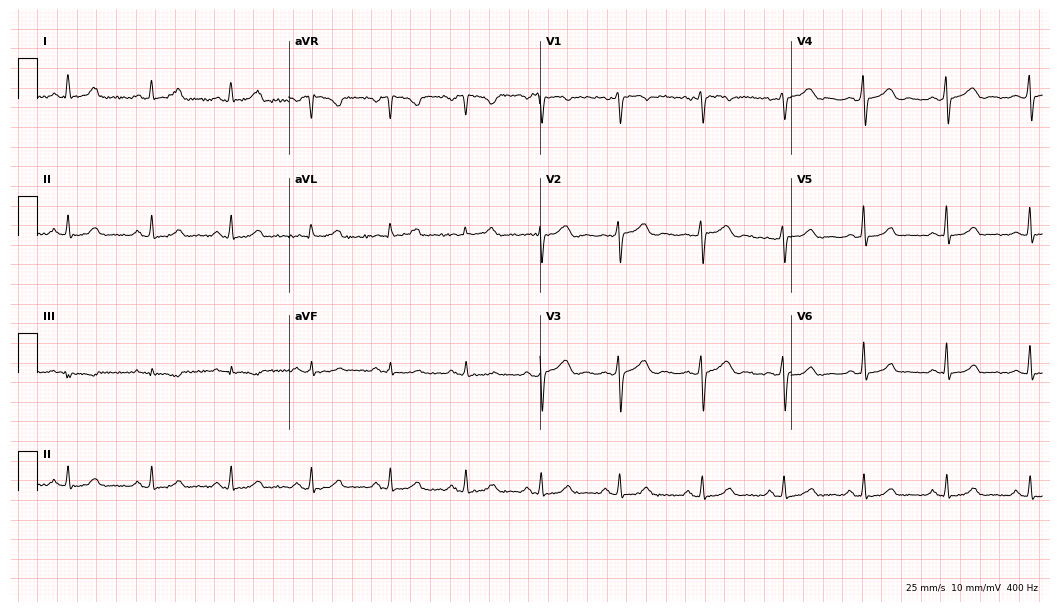
ECG — a 42-year-old woman. Labelled as a normal ECG.